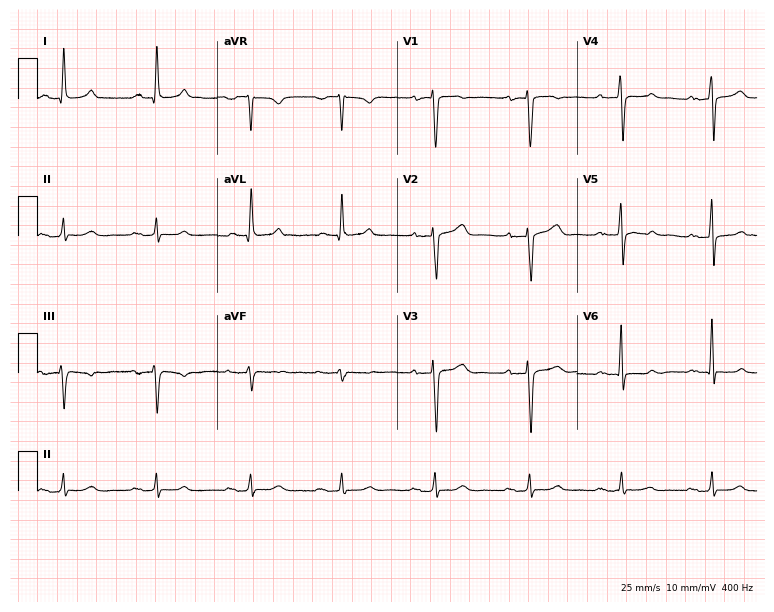
12-lead ECG from a man, 71 years old. Screened for six findings — first-degree AV block, right bundle branch block (RBBB), left bundle branch block (LBBB), sinus bradycardia, atrial fibrillation (AF), sinus tachycardia — none is recorded.